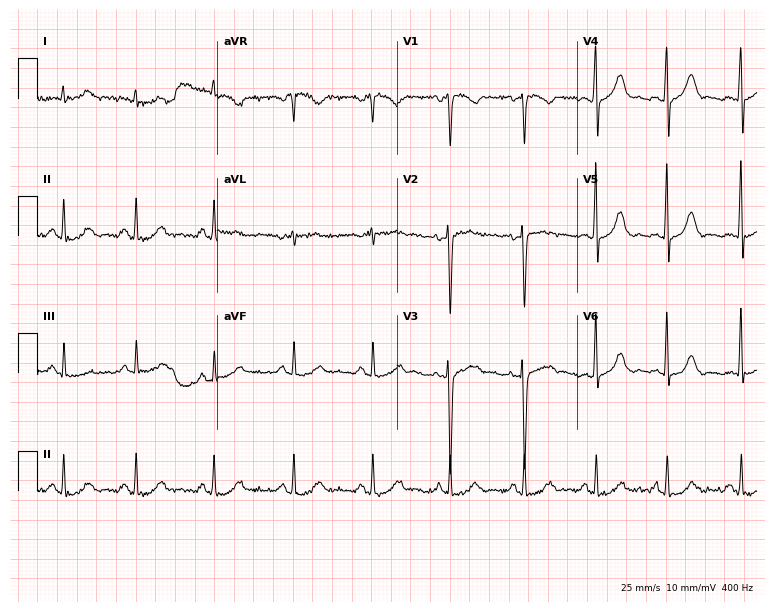
12-lead ECG from a 30-year-old man. No first-degree AV block, right bundle branch block, left bundle branch block, sinus bradycardia, atrial fibrillation or sinus tachycardia recorded for this tracing. Only these six findings were labelled.